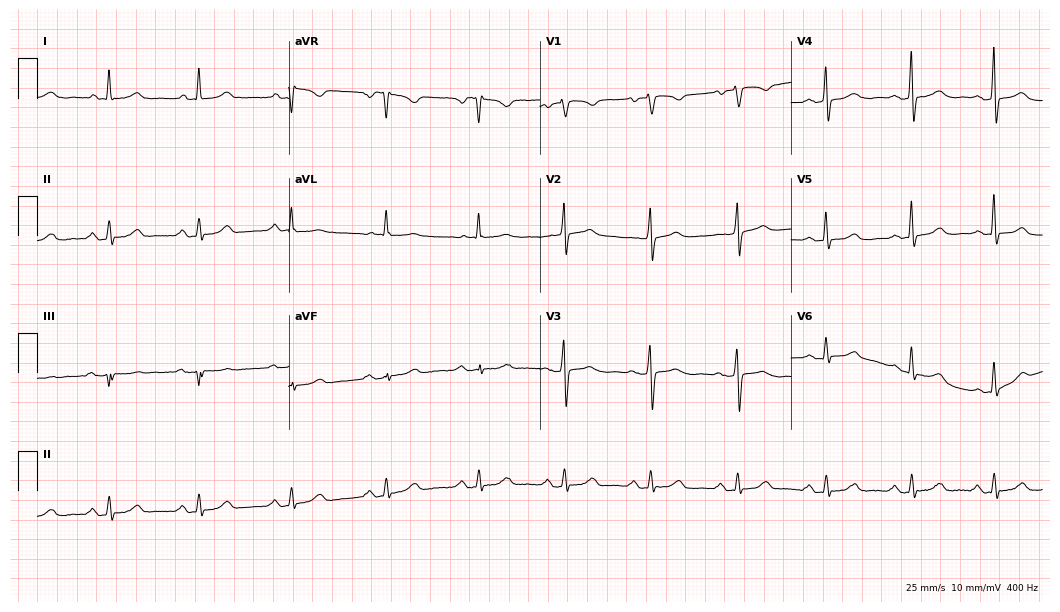
12-lead ECG from a 68-year-old female. Recorded interpretation: within normal limits.